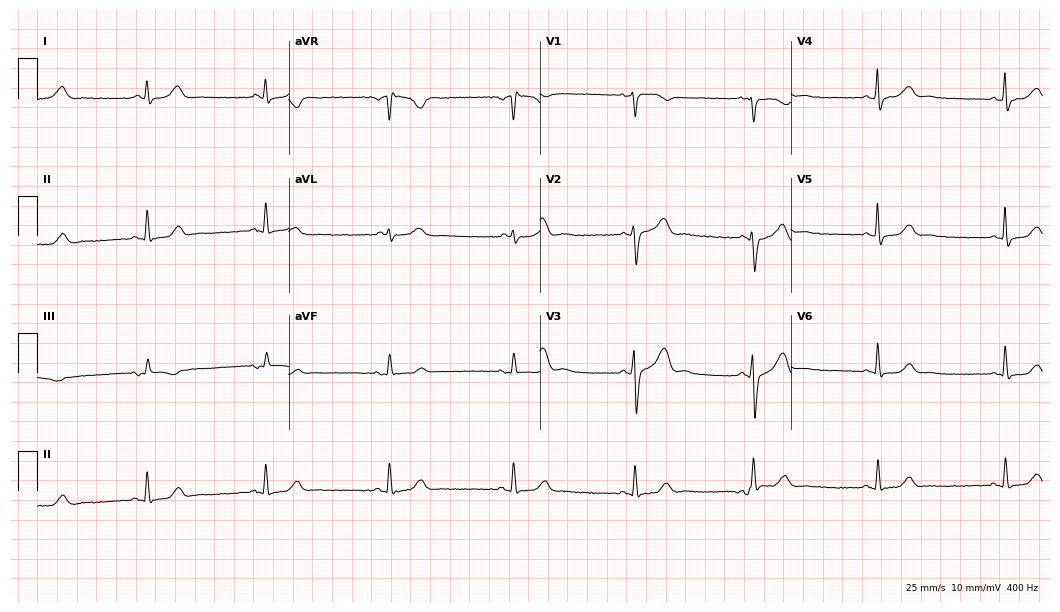
Standard 12-lead ECG recorded from a 68-year-old female. The tracing shows sinus bradycardia (a sinus rate of 50 beats per minute or less).